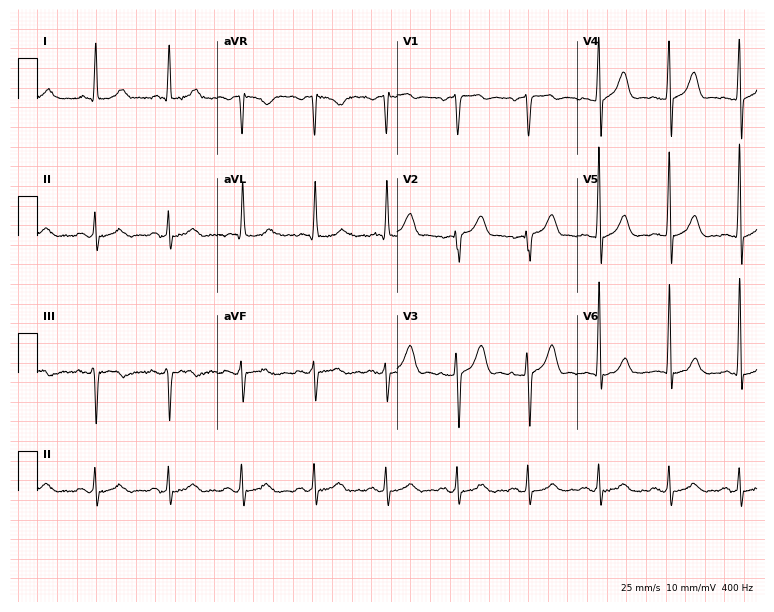
Resting 12-lead electrocardiogram (7.3-second recording at 400 Hz). Patient: a male, 67 years old. Read as a normal ECG.